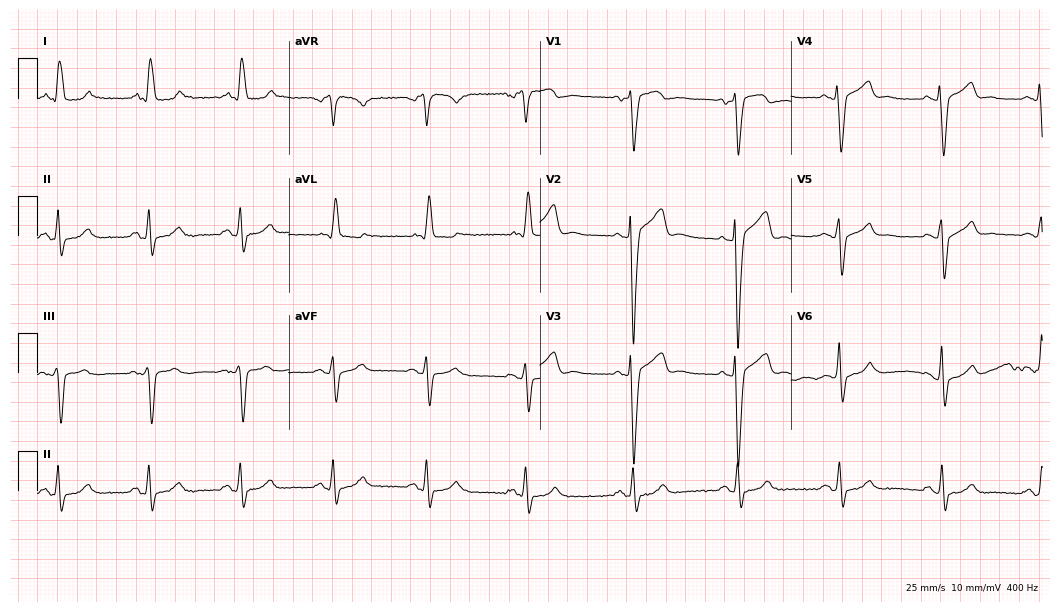
Standard 12-lead ECG recorded from a male patient, 75 years old. The tracing shows left bundle branch block.